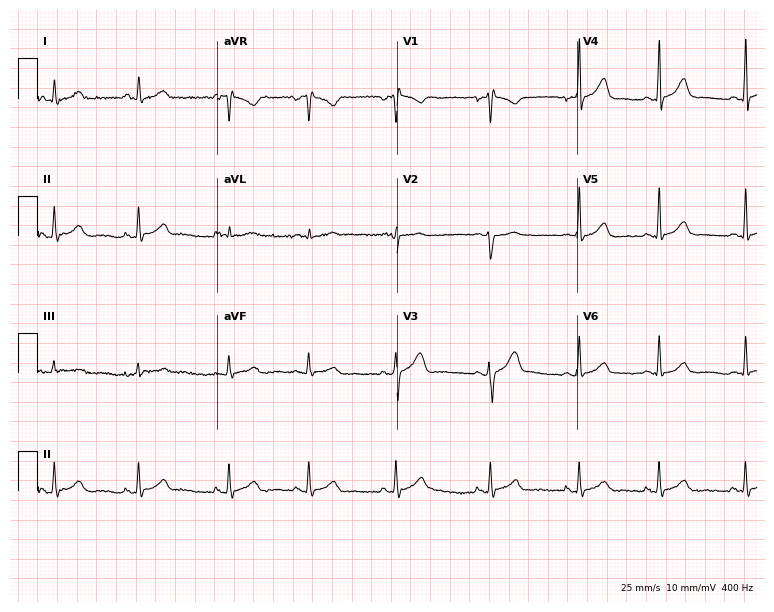
ECG (7.3-second recording at 400 Hz) — a 31-year-old male. Labelled as a normal ECG.